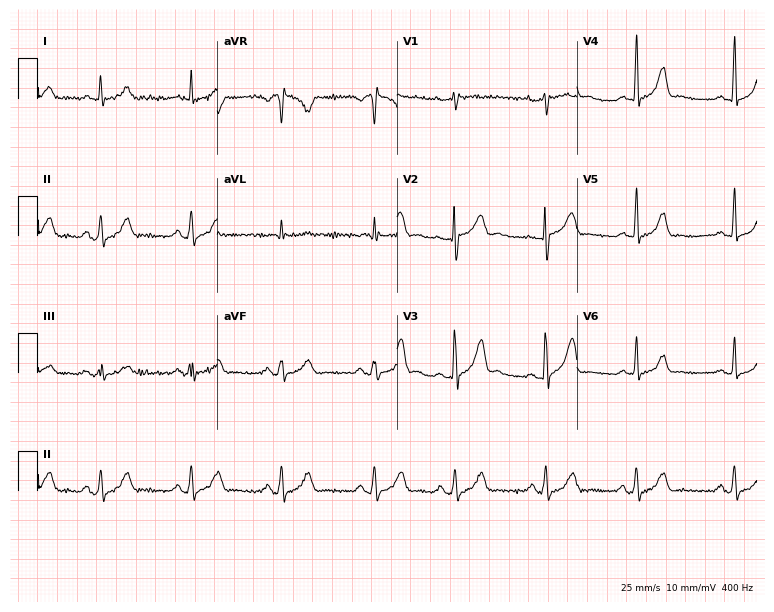
Standard 12-lead ECG recorded from a 33-year-old female patient (7.3-second recording at 400 Hz). Read as a normal ECG.